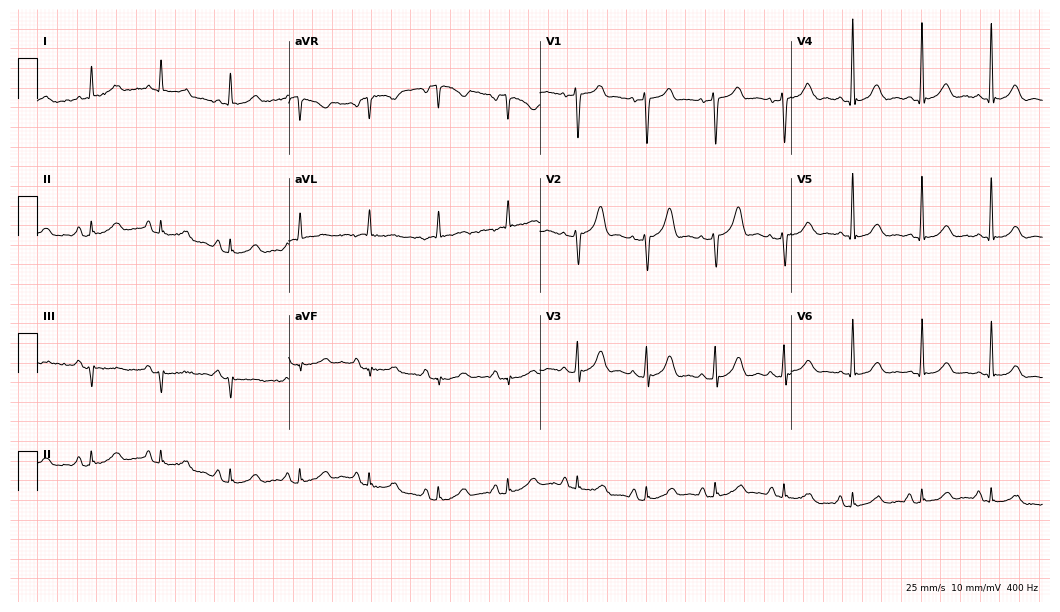
12-lead ECG (10.2-second recording at 400 Hz) from a 78-year-old woman. Labelled as a normal ECG.